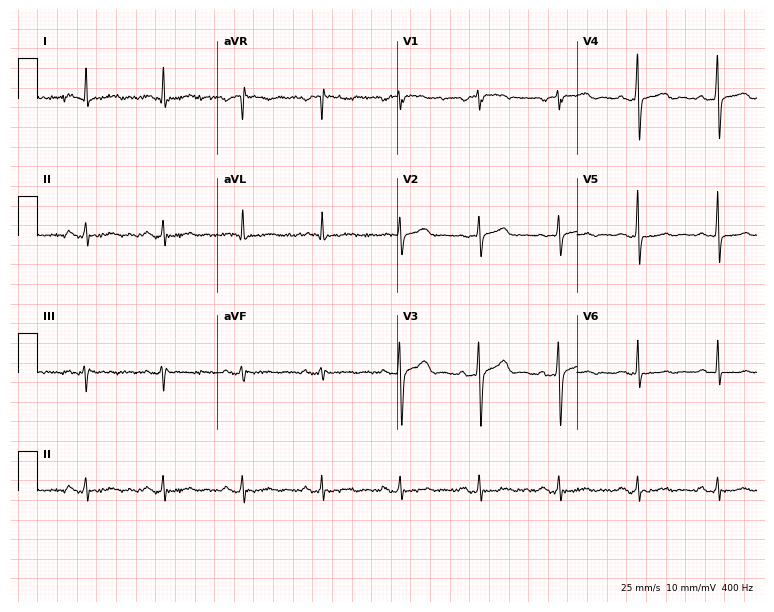
Standard 12-lead ECG recorded from a 58-year-old man (7.3-second recording at 400 Hz). None of these six findings is recorded: first-degree AV block, right bundle branch block, left bundle branch block, sinus bradycardia, atrial fibrillation, sinus tachycardia. Only these six findings were labelled.